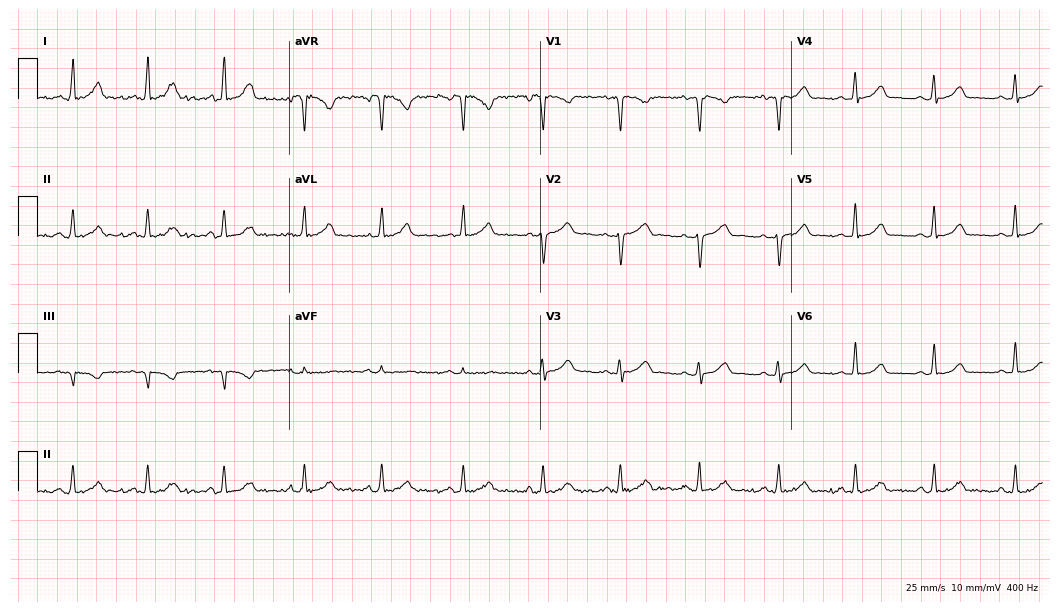
ECG — a 29-year-old female patient. Screened for six findings — first-degree AV block, right bundle branch block (RBBB), left bundle branch block (LBBB), sinus bradycardia, atrial fibrillation (AF), sinus tachycardia — none is recorded. Other findings, if any, are not listed.